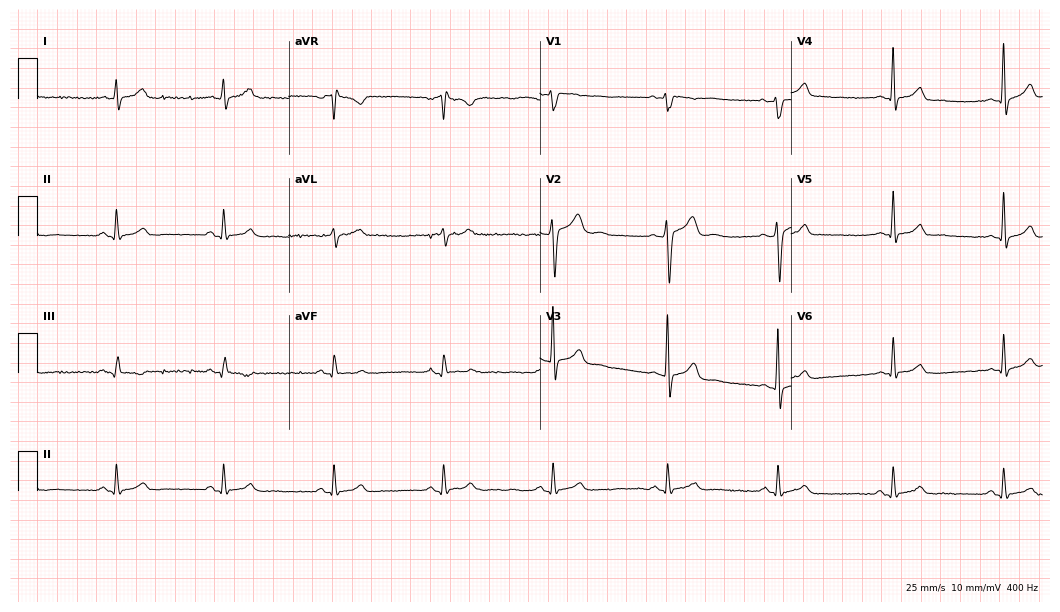
Resting 12-lead electrocardiogram (10.2-second recording at 400 Hz). Patient: a male, 19 years old. Read as a normal ECG.